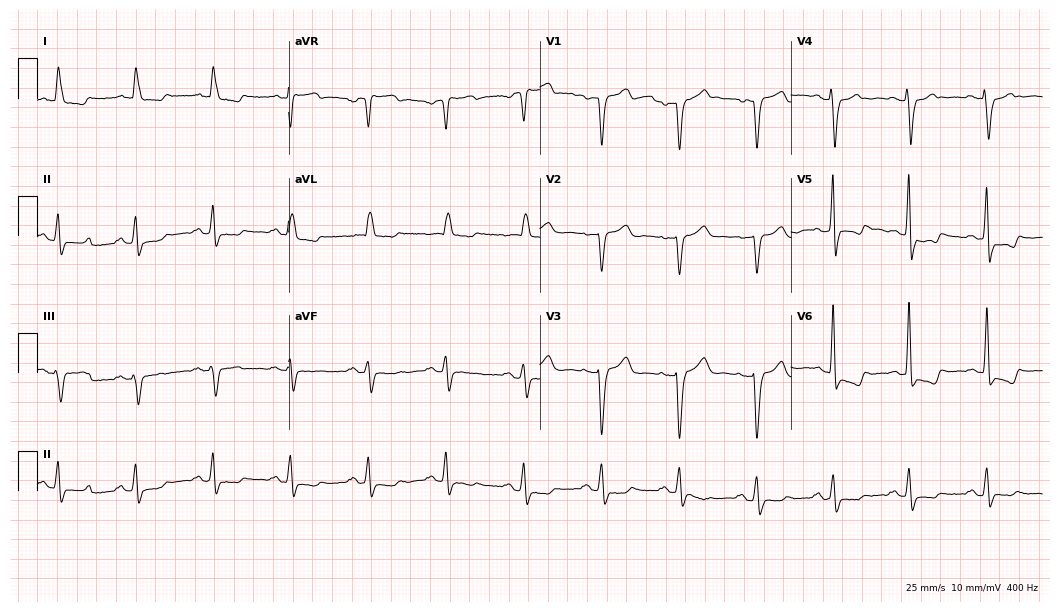
12-lead ECG from an 83-year-old female patient. No first-degree AV block, right bundle branch block, left bundle branch block, sinus bradycardia, atrial fibrillation or sinus tachycardia recorded for this tracing.